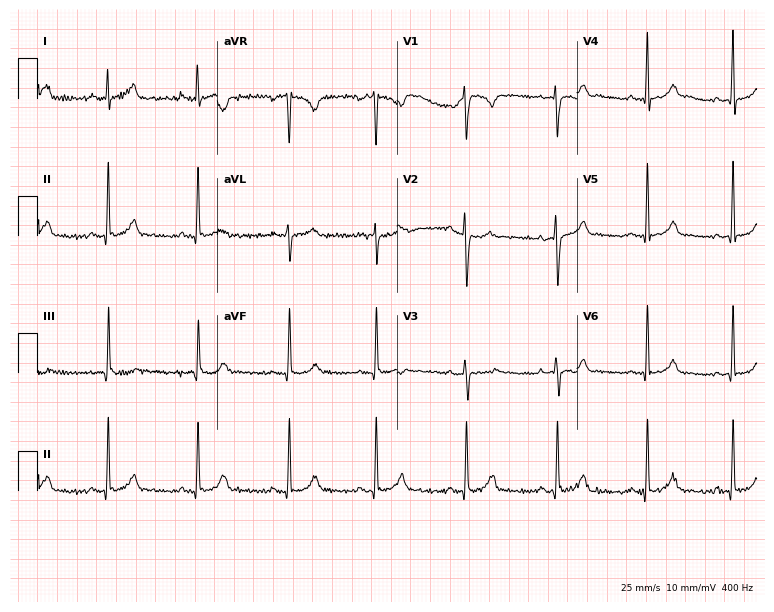
Electrocardiogram, a 22-year-old female. Overall reading on record: normal ECG.